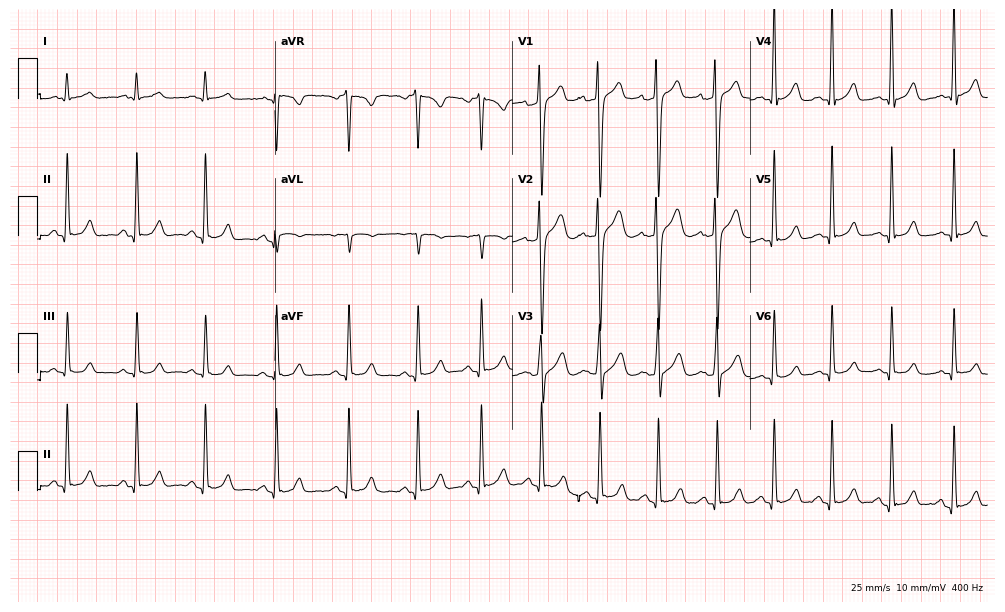
ECG (9.7-second recording at 400 Hz) — a male patient, 31 years old. Screened for six findings — first-degree AV block, right bundle branch block, left bundle branch block, sinus bradycardia, atrial fibrillation, sinus tachycardia — none is recorded.